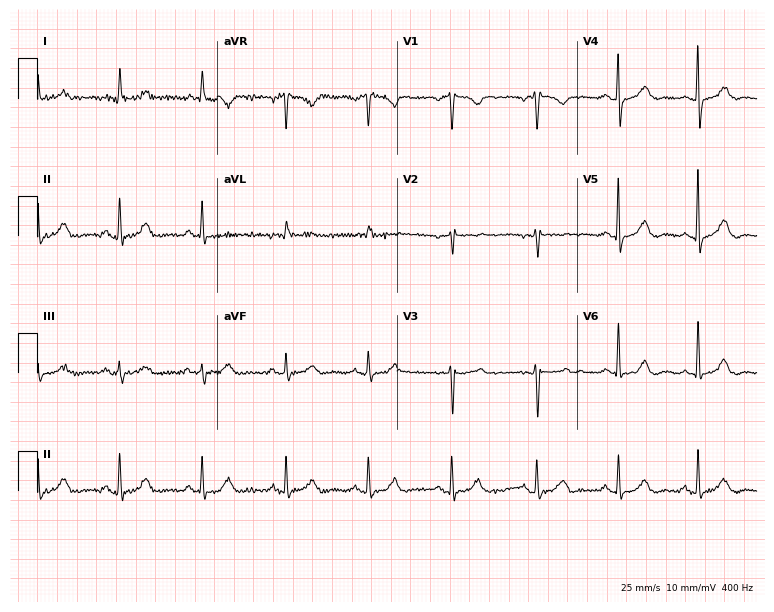
Standard 12-lead ECG recorded from an 85-year-old female patient. Read as a normal ECG.